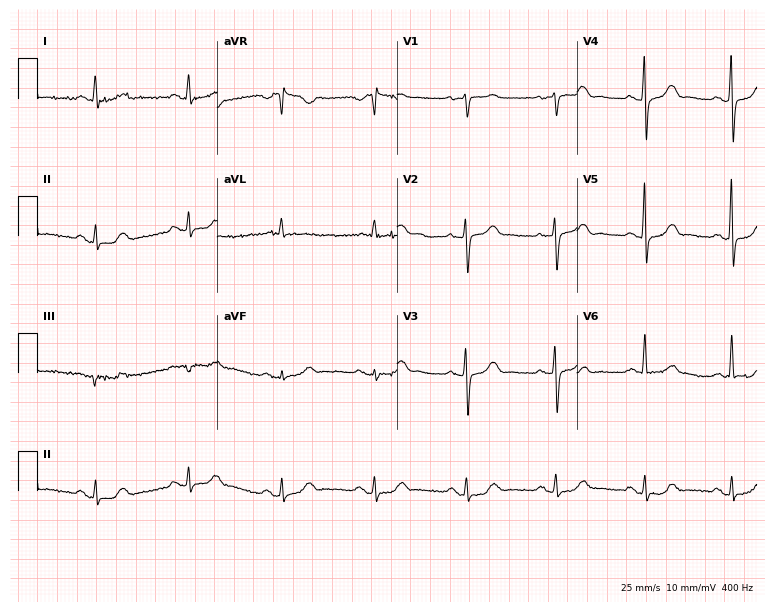
Standard 12-lead ECG recorded from a 77-year-old female. Read as a normal ECG.